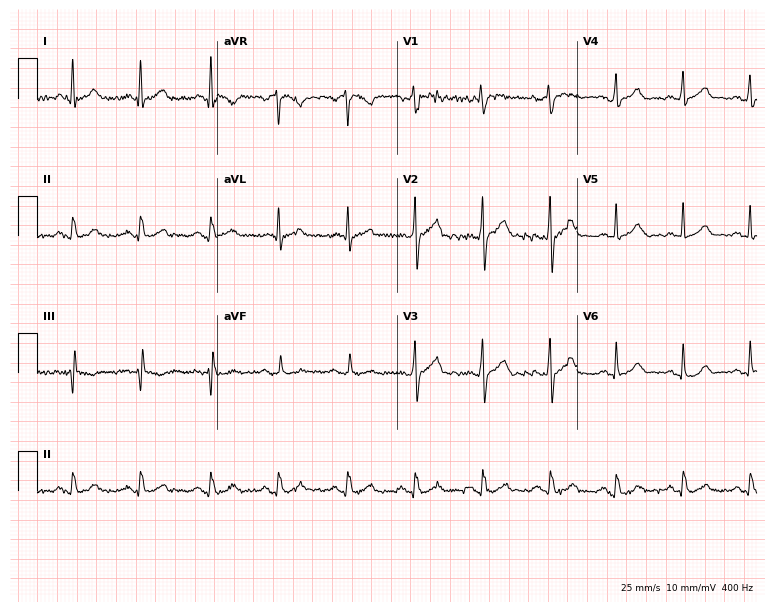
12-lead ECG from a 47-year-old man (7.3-second recording at 400 Hz). Recorded interpretation: within normal limits.